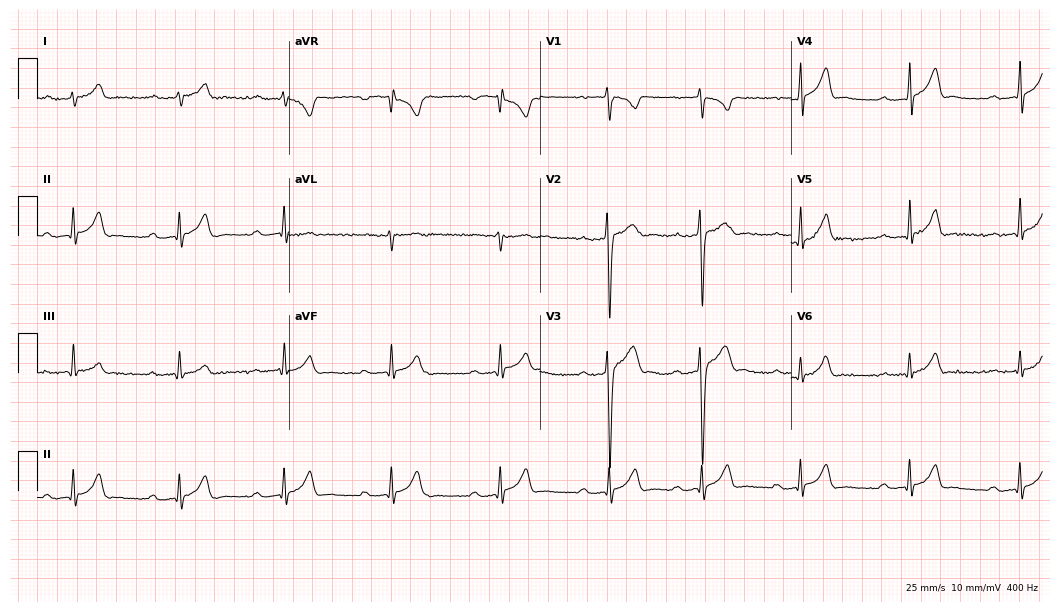
12-lead ECG from a 19-year-old male patient (10.2-second recording at 400 Hz). Shows first-degree AV block.